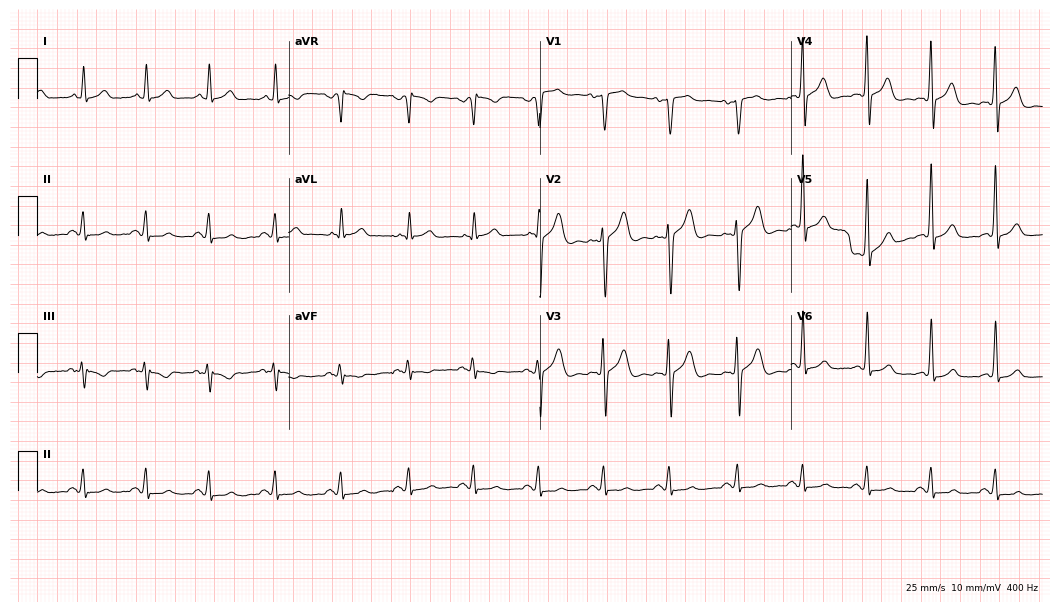
Standard 12-lead ECG recorded from a male, 54 years old (10.2-second recording at 400 Hz). None of these six findings is recorded: first-degree AV block, right bundle branch block (RBBB), left bundle branch block (LBBB), sinus bradycardia, atrial fibrillation (AF), sinus tachycardia. Other findings, if any, are not listed.